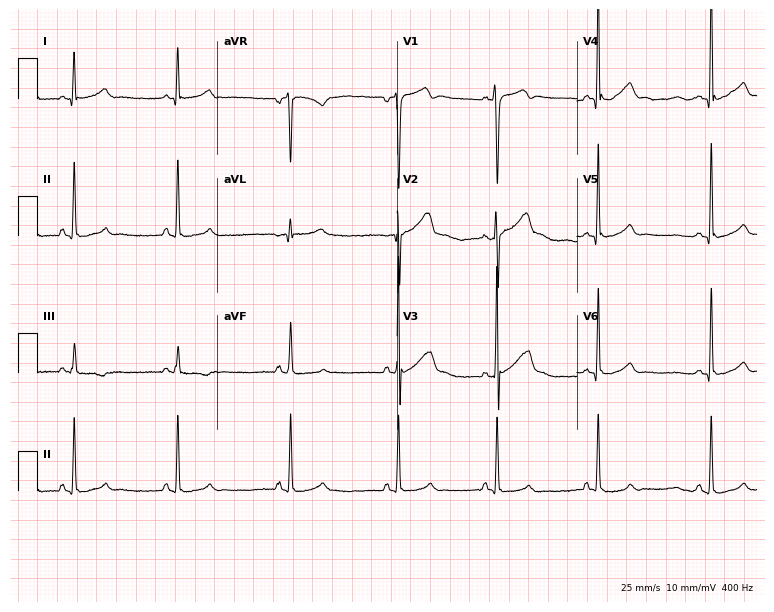
12-lead ECG (7.3-second recording at 400 Hz) from a 21-year-old male patient. Labelled as a normal ECG.